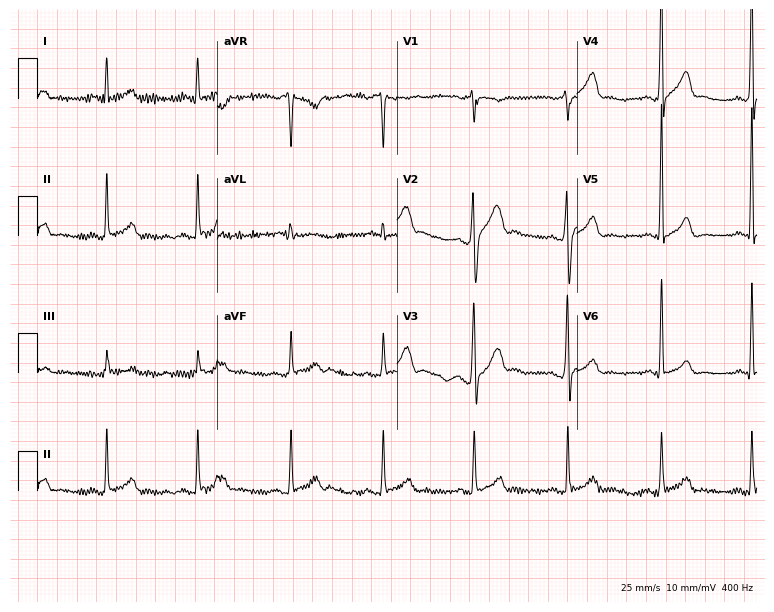
Electrocardiogram (7.3-second recording at 400 Hz), a 25-year-old male. Of the six screened findings (first-degree AV block, right bundle branch block, left bundle branch block, sinus bradycardia, atrial fibrillation, sinus tachycardia), none is recorded.